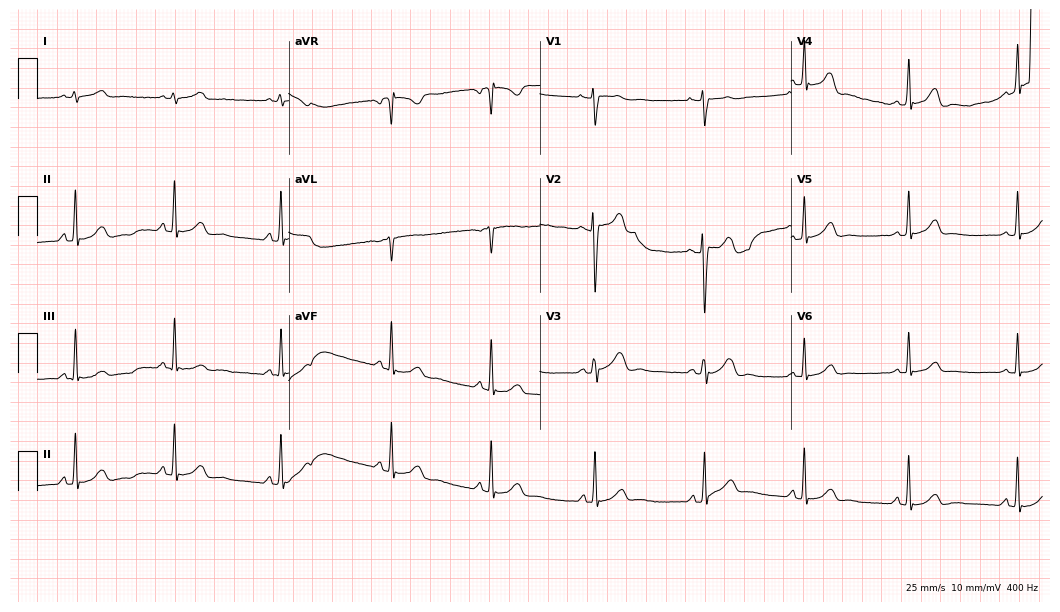
Electrocardiogram (10.2-second recording at 400 Hz), a female, 21 years old. Overall reading on record: normal ECG.